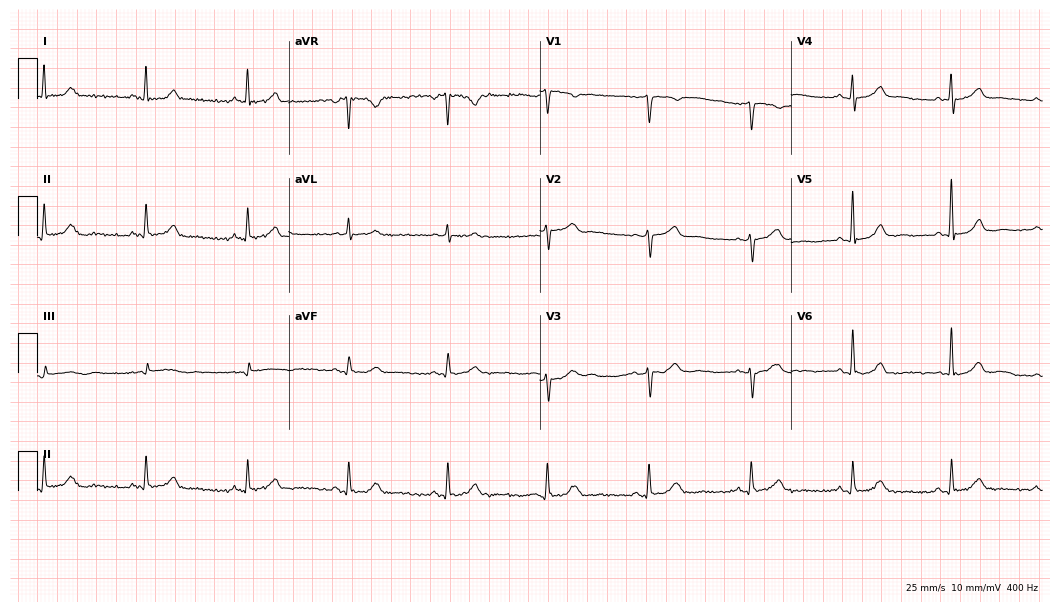
ECG (10.2-second recording at 400 Hz) — a female, 65 years old. Screened for six findings — first-degree AV block, right bundle branch block, left bundle branch block, sinus bradycardia, atrial fibrillation, sinus tachycardia — none is recorded.